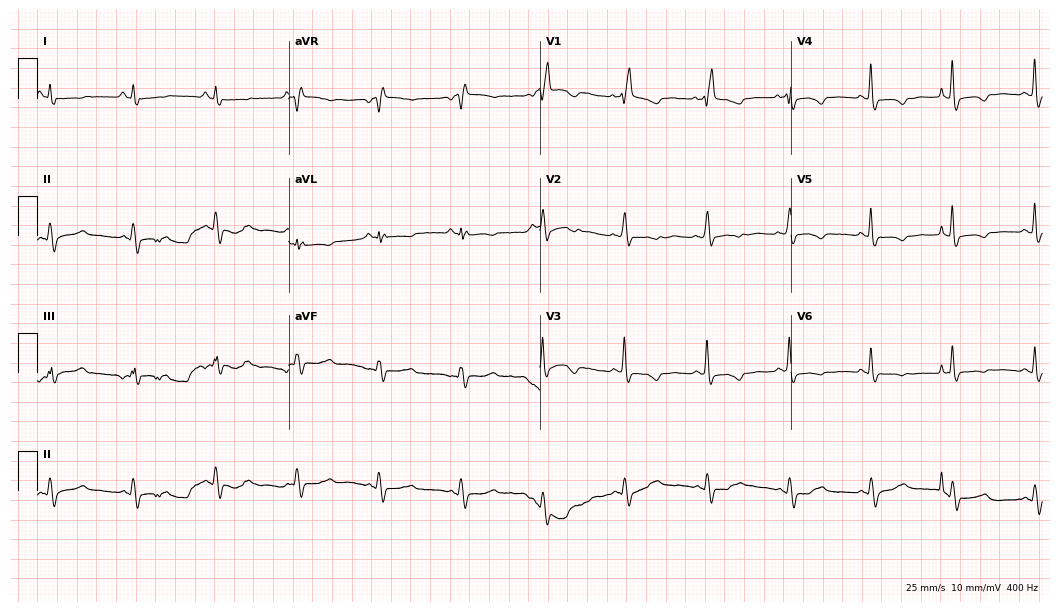
ECG — a 54-year-old female. Findings include right bundle branch block (RBBB).